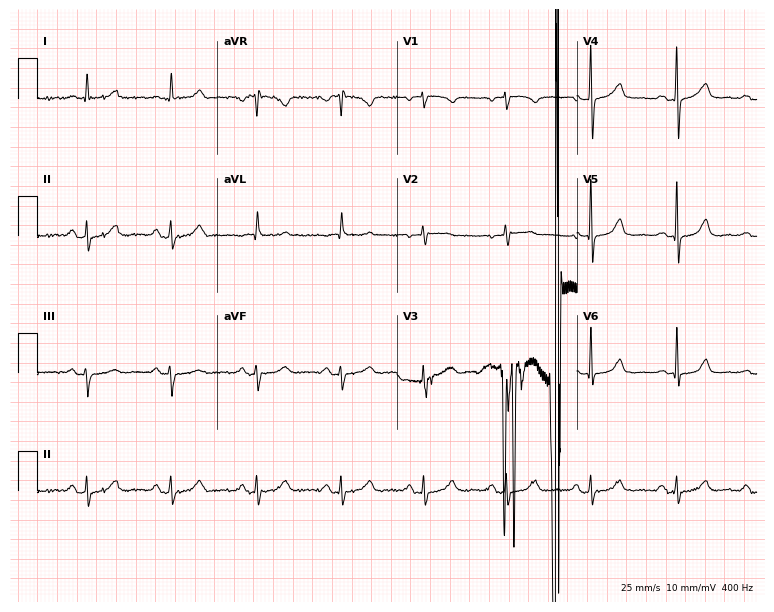
12-lead ECG from a woman, 58 years old. No first-degree AV block, right bundle branch block (RBBB), left bundle branch block (LBBB), sinus bradycardia, atrial fibrillation (AF) or sinus tachycardia recorded for this tracing. Only these six findings were labelled.